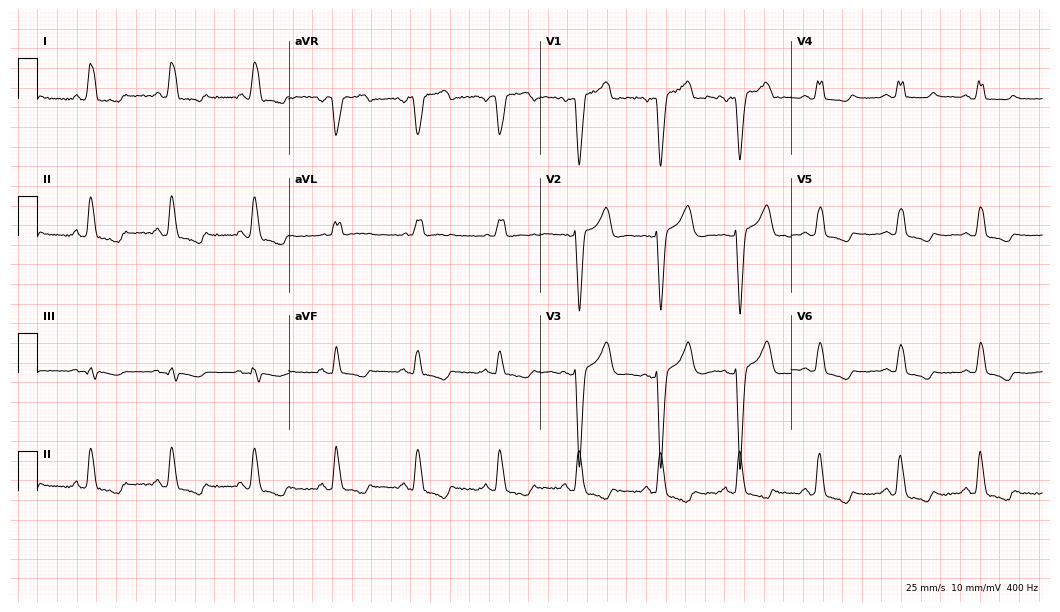
Resting 12-lead electrocardiogram (10.2-second recording at 400 Hz). Patient: a 59-year-old female. The tracing shows left bundle branch block.